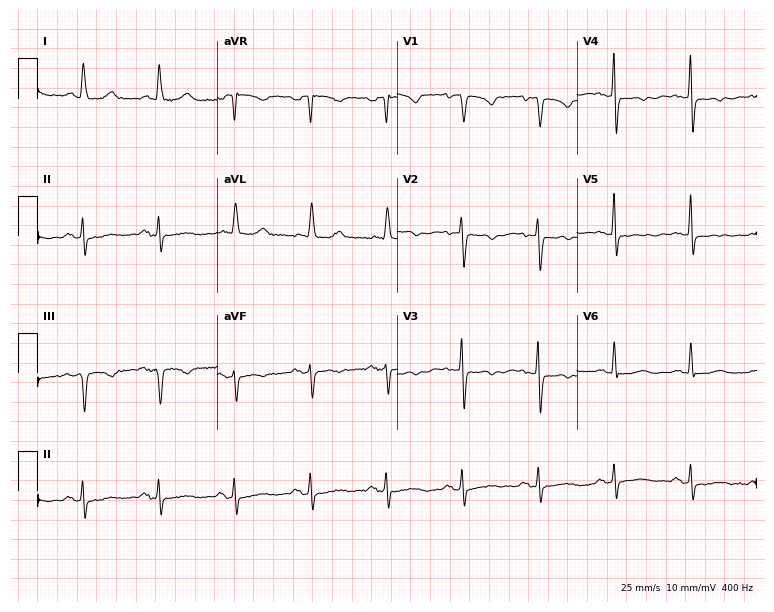
Standard 12-lead ECG recorded from a 75-year-old woman (7.3-second recording at 400 Hz). None of these six findings is recorded: first-degree AV block, right bundle branch block, left bundle branch block, sinus bradycardia, atrial fibrillation, sinus tachycardia. Other findings, if any, are not listed.